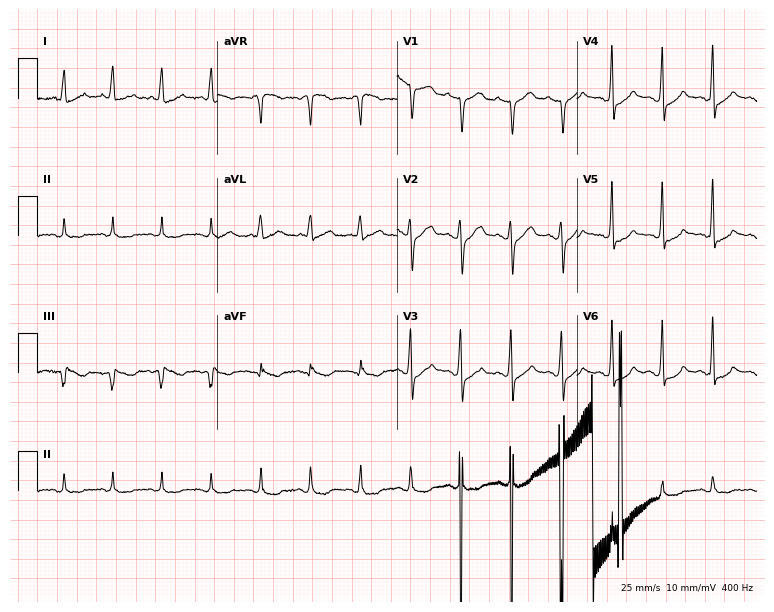
Electrocardiogram (7.3-second recording at 400 Hz), a 47-year-old male. Interpretation includes sinus tachycardia (a sinus rate of 100 beats per minute or more).